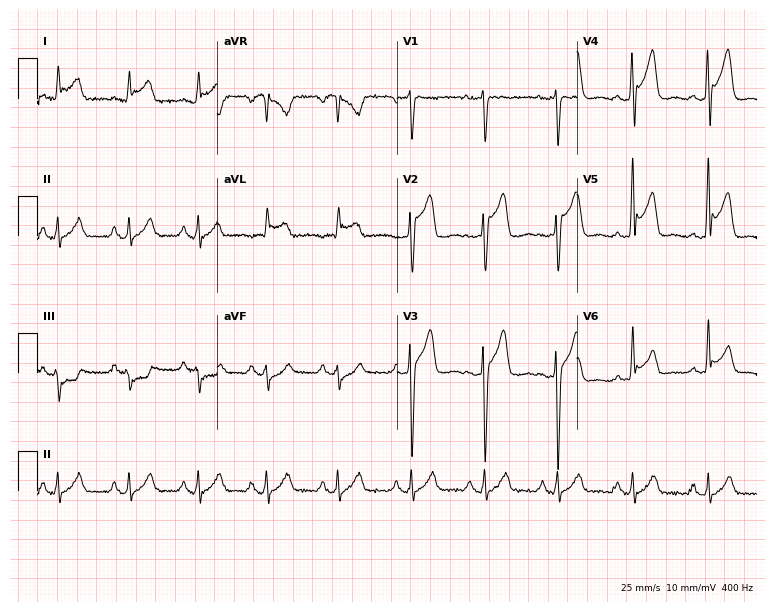
ECG — a male, 33 years old. Screened for six findings — first-degree AV block, right bundle branch block, left bundle branch block, sinus bradycardia, atrial fibrillation, sinus tachycardia — none is recorded.